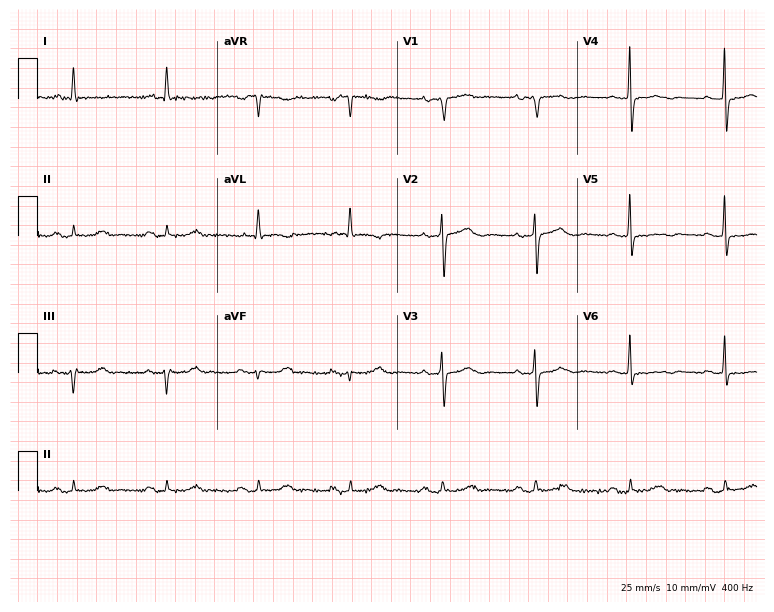
Electrocardiogram (7.3-second recording at 400 Hz), a female patient, 79 years old. Of the six screened findings (first-degree AV block, right bundle branch block (RBBB), left bundle branch block (LBBB), sinus bradycardia, atrial fibrillation (AF), sinus tachycardia), none is recorded. Findings outside these six are not listed.